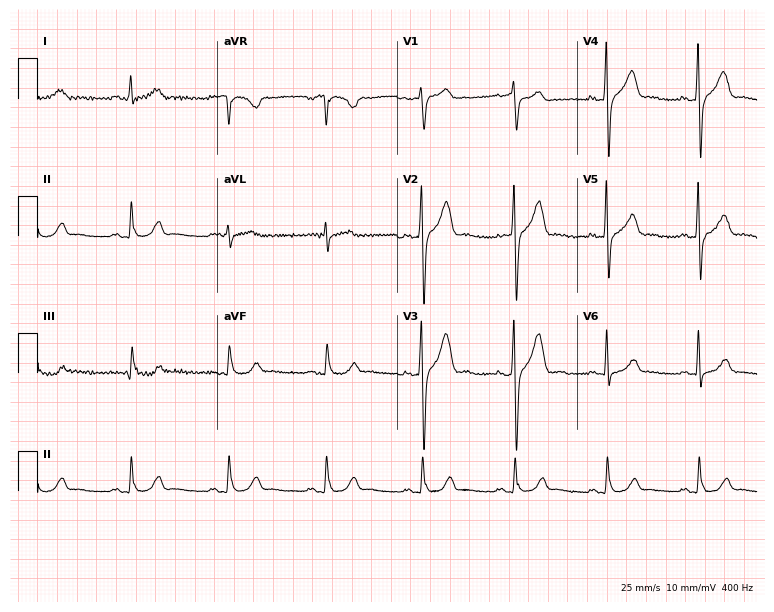
Electrocardiogram, a male, 42 years old. Overall reading on record: normal ECG.